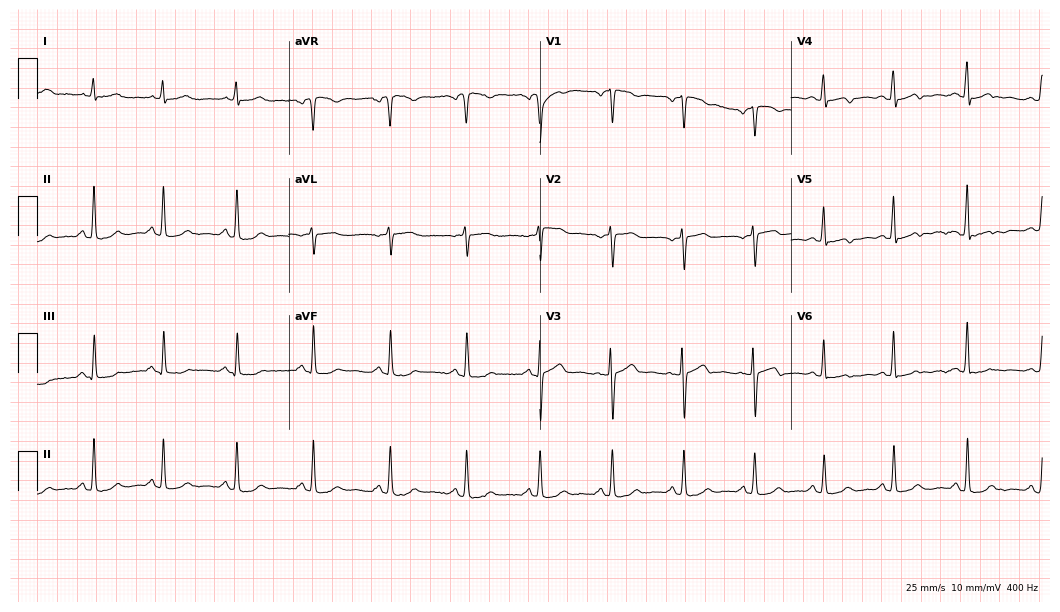
Standard 12-lead ECG recorded from a woman, 50 years old (10.2-second recording at 400 Hz). None of these six findings is recorded: first-degree AV block, right bundle branch block, left bundle branch block, sinus bradycardia, atrial fibrillation, sinus tachycardia. Findings outside these six are not listed.